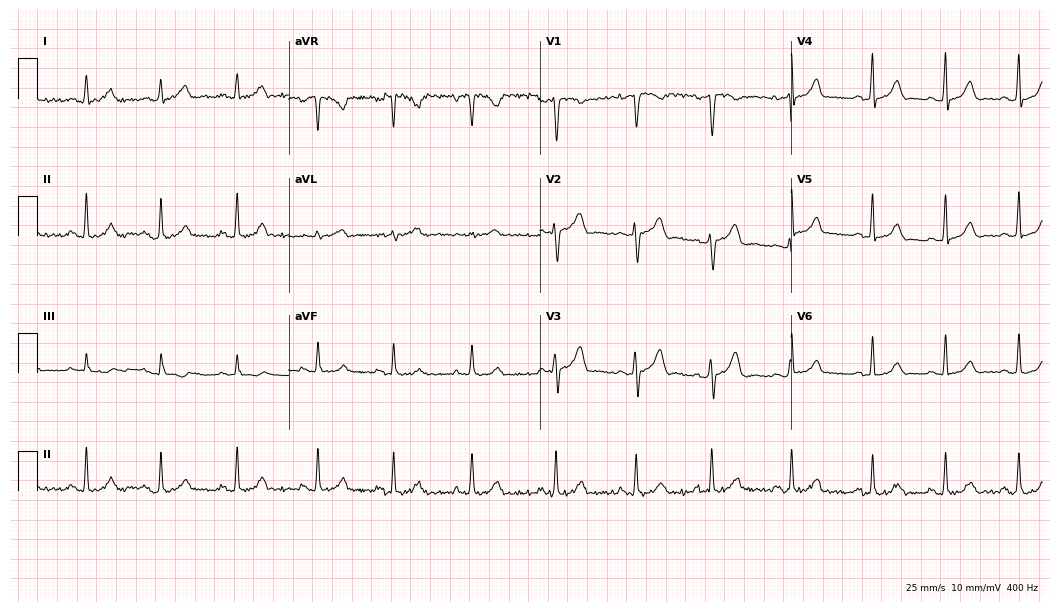
Standard 12-lead ECG recorded from a female, 20 years old (10.2-second recording at 400 Hz). None of these six findings is recorded: first-degree AV block, right bundle branch block (RBBB), left bundle branch block (LBBB), sinus bradycardia, atrial fibrillation (AF), sinus tachycardia. Other findings, if any, are not listed.